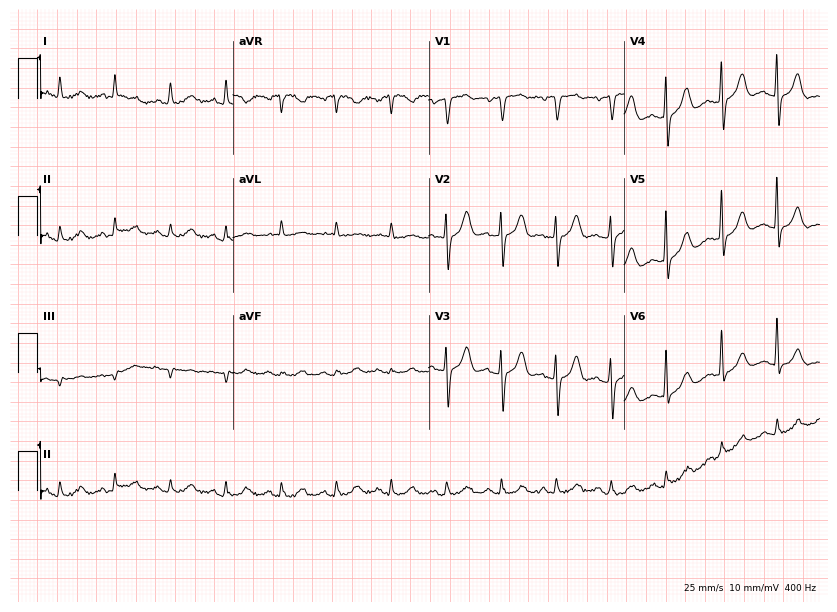
Standard 12-lead ECG recorded from a female patient, 74 years old (8-second recording at 400 Hz). The tracing shows sinus tachycardia (a sinus rate of 100 beats per minute or more).